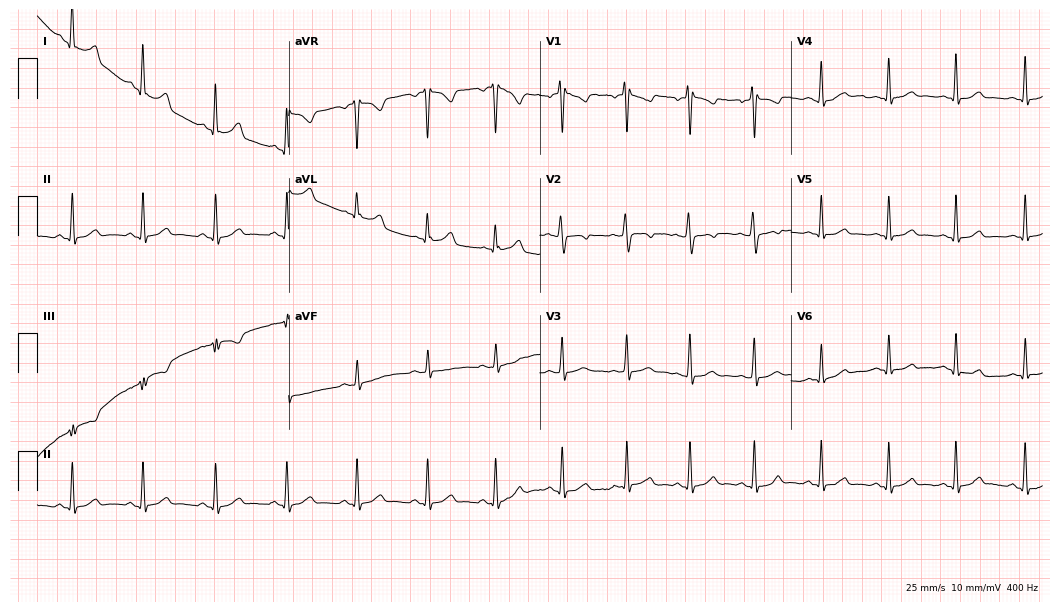
Resting 12-lead electrocardiogram. Patient: a 34-year-old female. Read as a normal ECG.